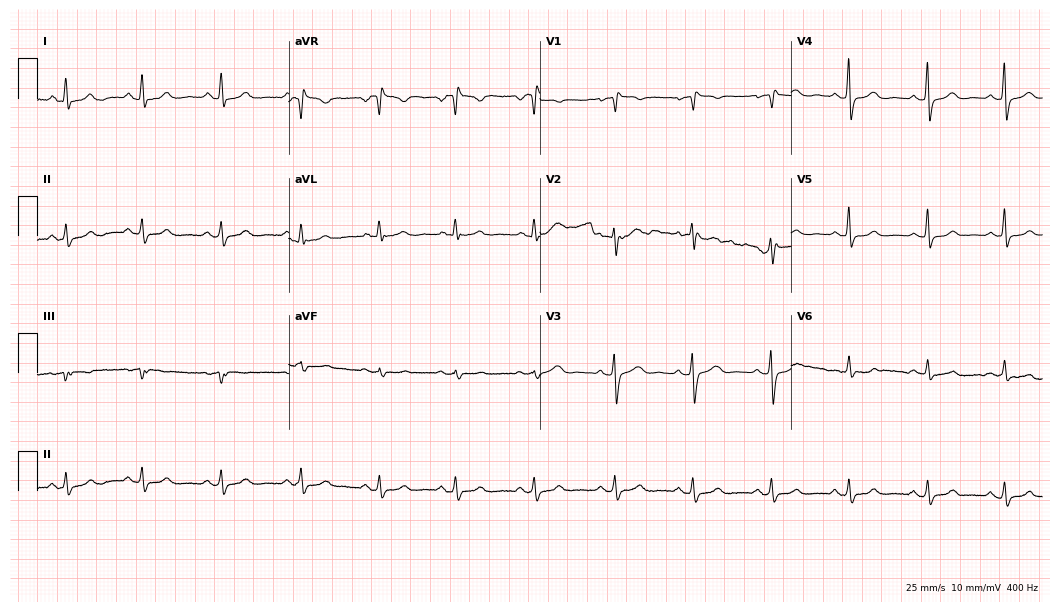
12-lead ECG from a woman, 56 years old (10.2-second recording at 400 Hz). No first-degree AV block, right bundle branch block (RBBB), left bundle branch block (LBBB), sinus bradycardia, atrial fibrillation (AF) or sinus tachycardia recorded for this tracing. Other findings, if any, are not listed.